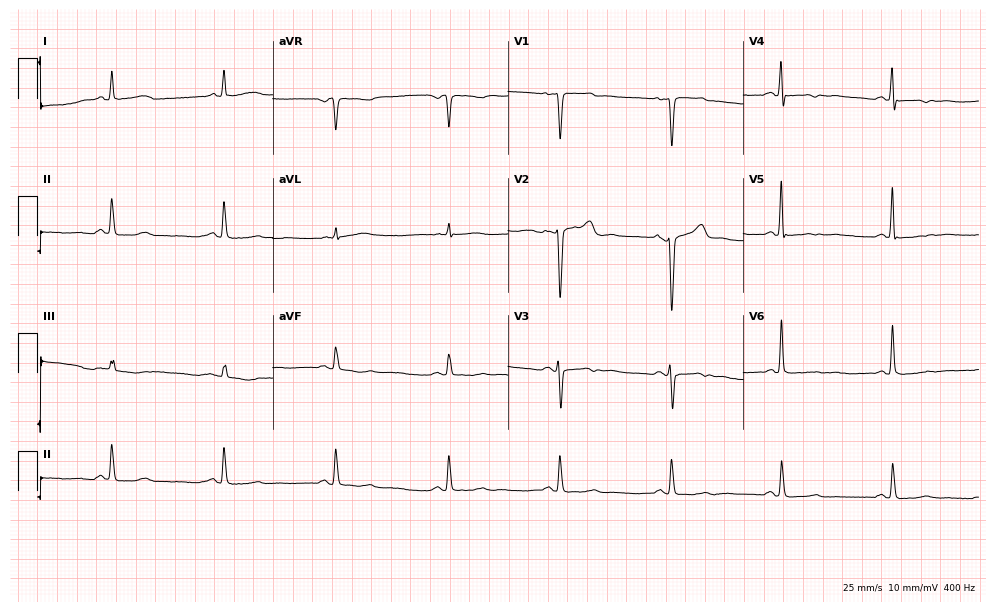
Electrocardiogram, a female, 67 years old. Of the six screened findings (first-degree AV block, right bundle branch block (RBBB), left bundle branch block (LBBB), sinus bradycardia, atrial fibrillation (AF), sinus tachycardia), none is recorded. Findings outside these six are not listed.